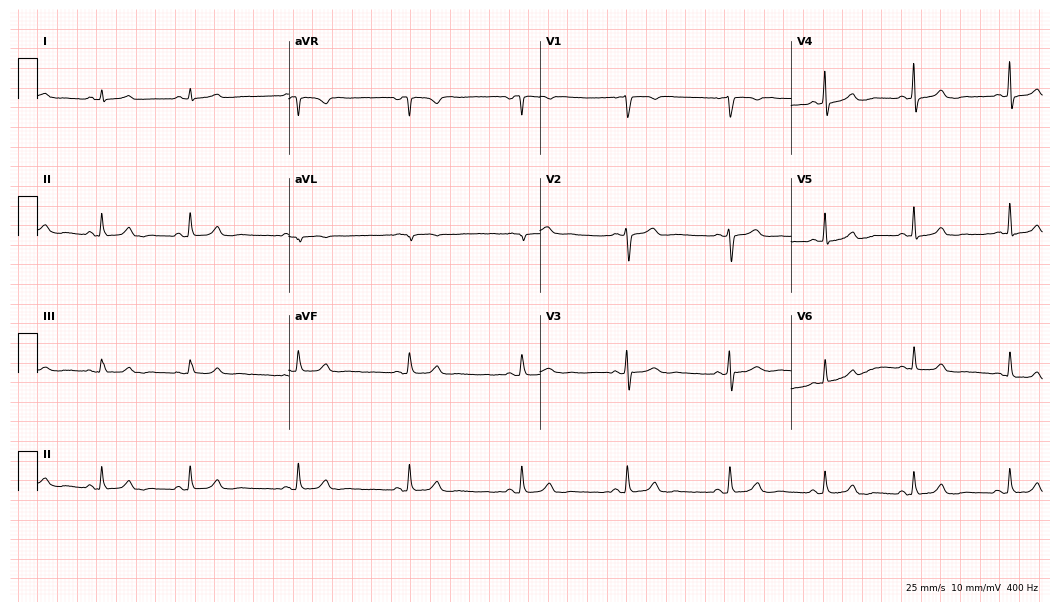
ECG (10.2-second recording at 400 Hz) — a 31-year-old woman. Labelled as a normal ECG.